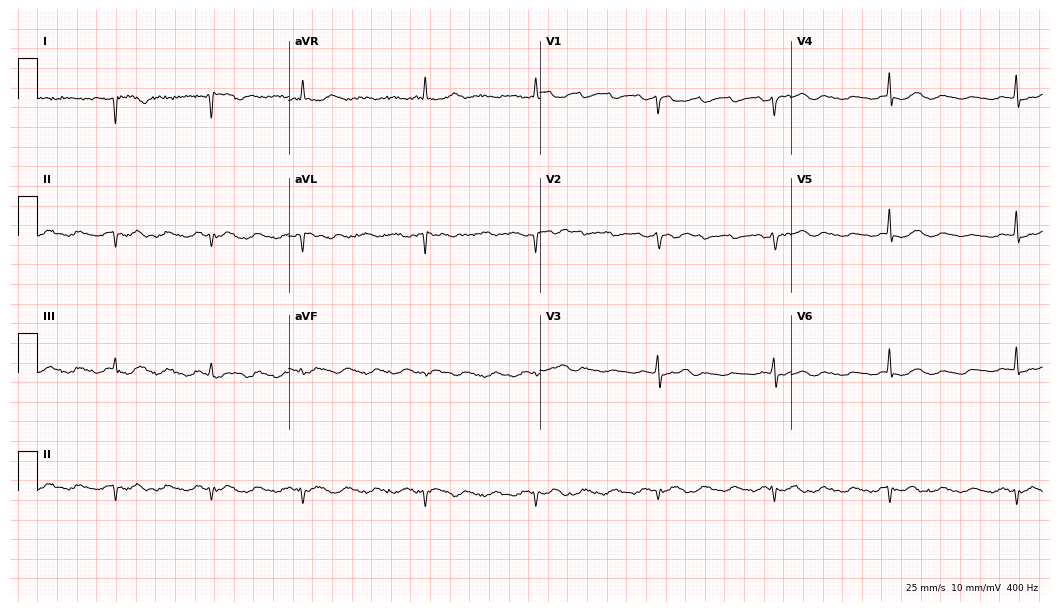
Standard 12-lead ECG recorded from a female, 75 years old (10.2-second recording at 400 Hz). None of these six findings is recorded: first-degree AV block, right bundle branch block, left bundle branch block, sinus bradycardia, atrial fibrillation, sinus tachycardia.